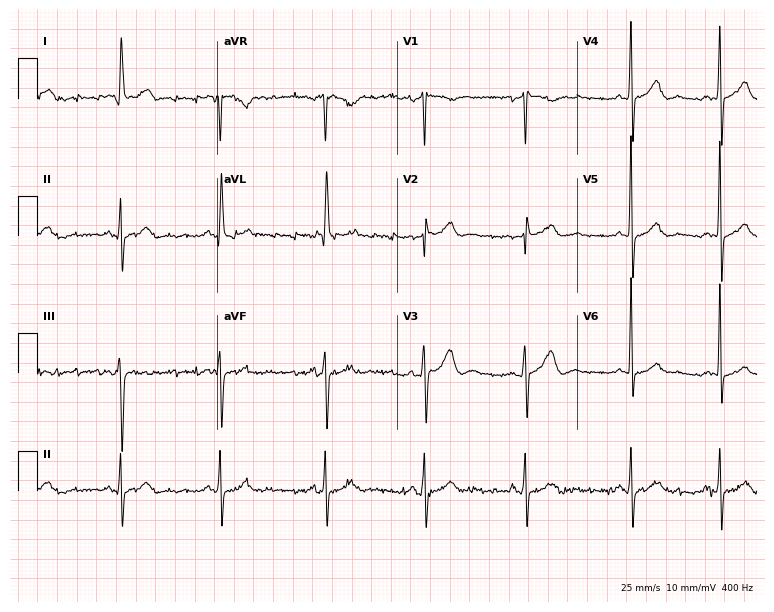
Resting 12-lead electrocardiogram. Patient: an 82-year-old woman. None of these six findings is recorded: first-degree AV block, right bundle branch block, left bundle branch block, sinus bradycardia, atrial fibrillation, sinus tachycardia.